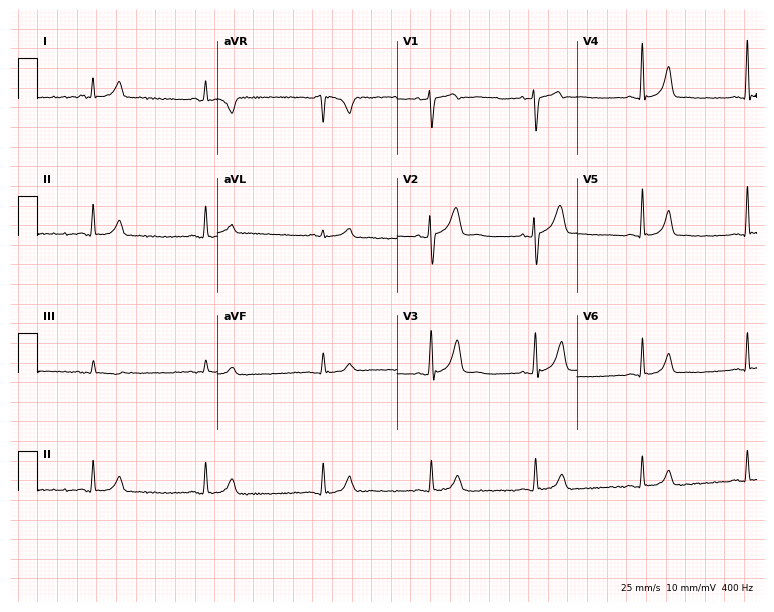
ECG — a male, 38 years old. Screened for six findings — first-degree AV block, right bundle branch block (RBBB), left bundle branch block (LBBB), sinus bradycardia, atrial fibrillation (AF), sinus tachycardia — none is recorded. Findings outside these six are not listed.